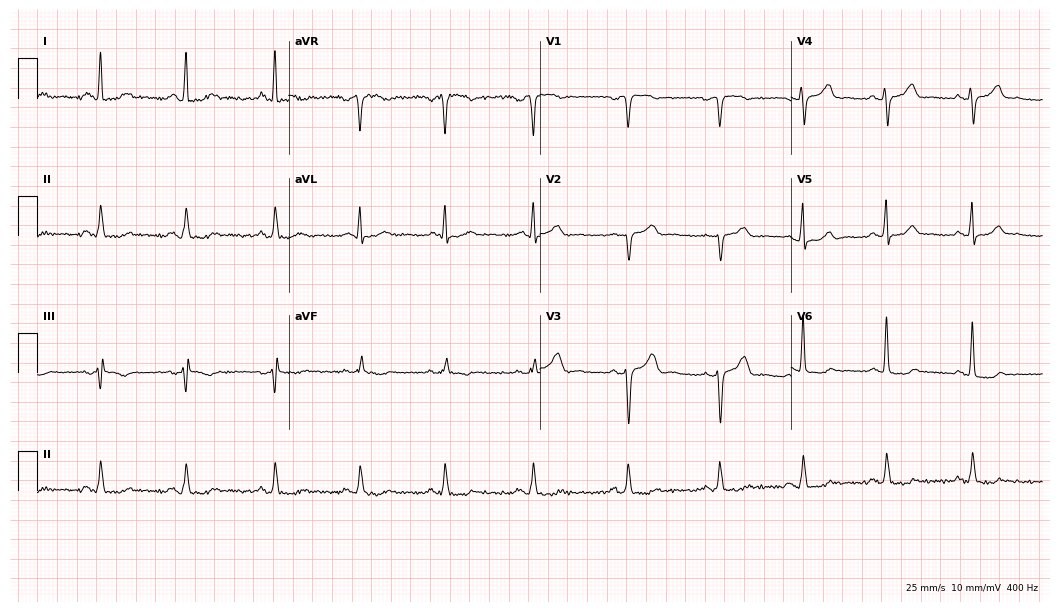
ECG (10.2-second recording at 400 Hz) — a 55-year-old female. Screened for six findings — first-degree AV block, right bundle branch block, left bundle branch block, sinus bradycardia, atrial fibrillation, sinus tachycardia — none is recorded. Only these six findings were labelled.